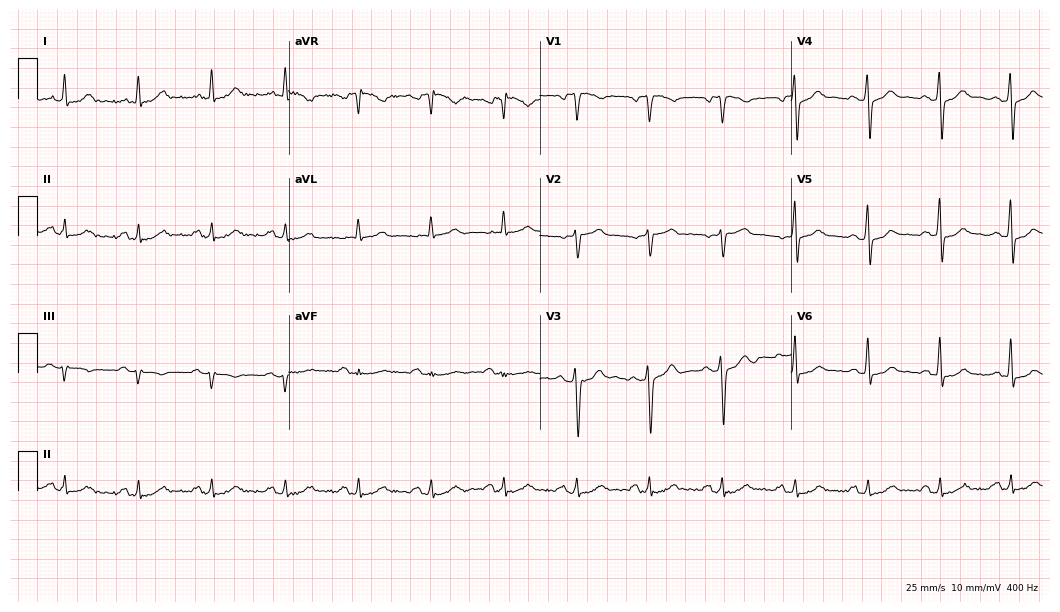
Standard 12-lead ECG recorded from a man, 48 years old. Read as a normal ECG.